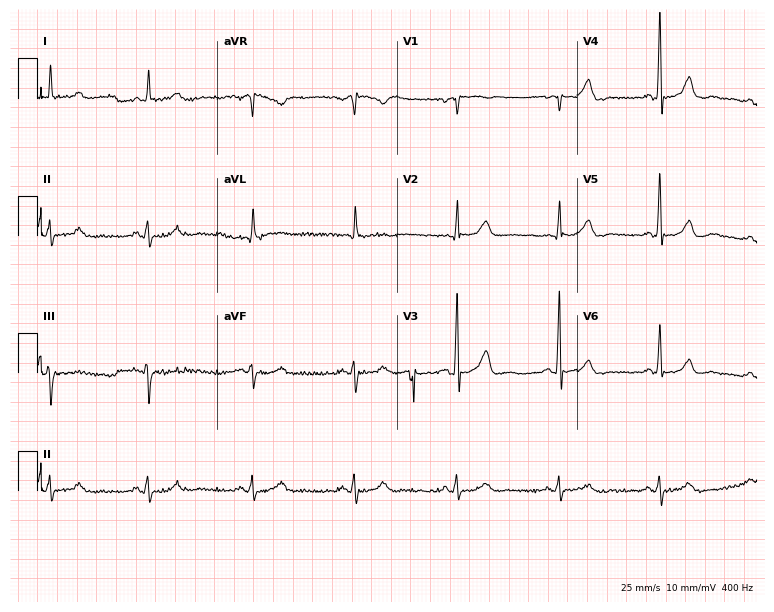
ECG — a 74-year-old man. Screened for six findings — first-degree AV block, right bundle branch block, left bundle branch block, sinus bradycardia, atrial fibrillation, sinus tachycardia — none is recorded. Findings outside these six are not listed.